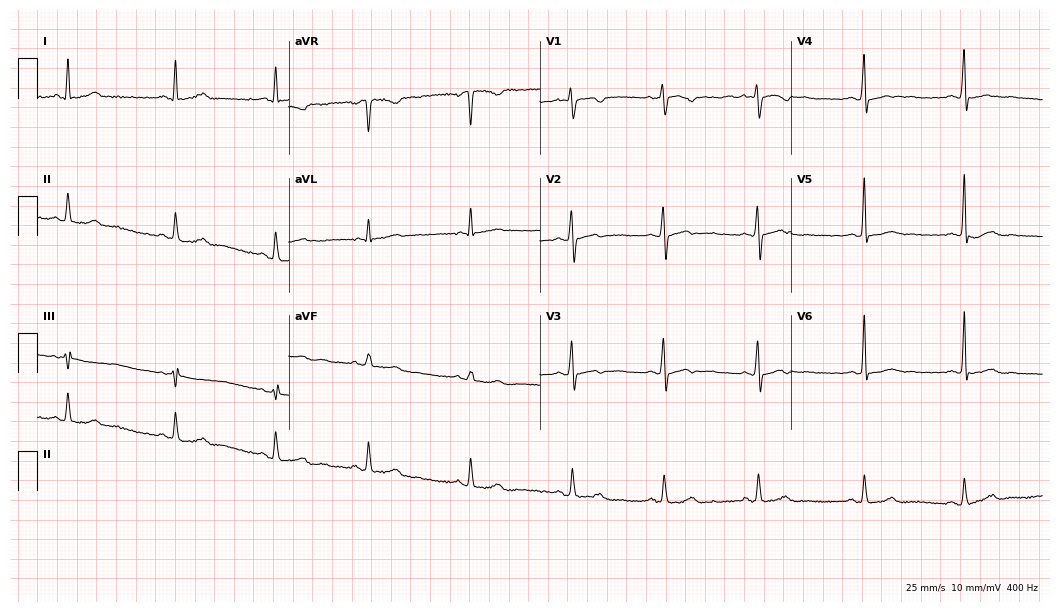
Electrocardiogram (10.2-second recording at 400 Hz), a woman, 37 years old. Overall reading on record: normal ECG.